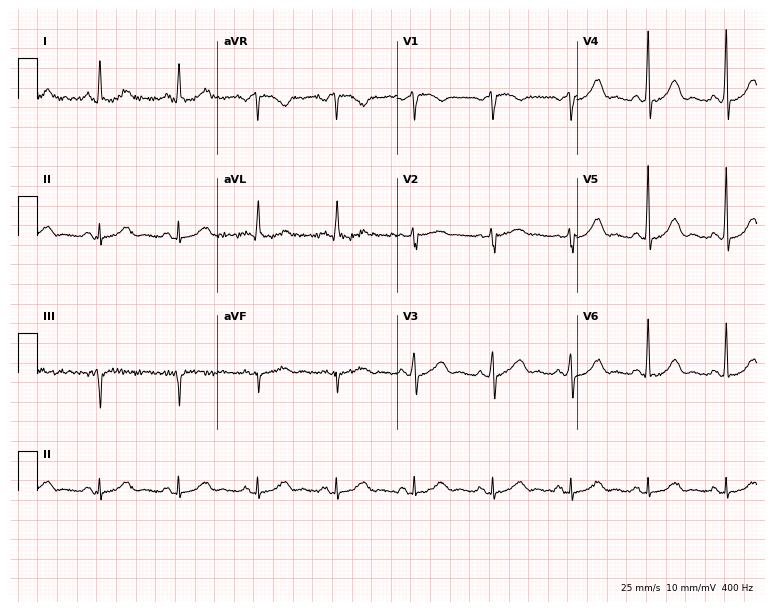
Electrocardiogram, a female patient, 75 years old. Overall reading on record: normal ECG.